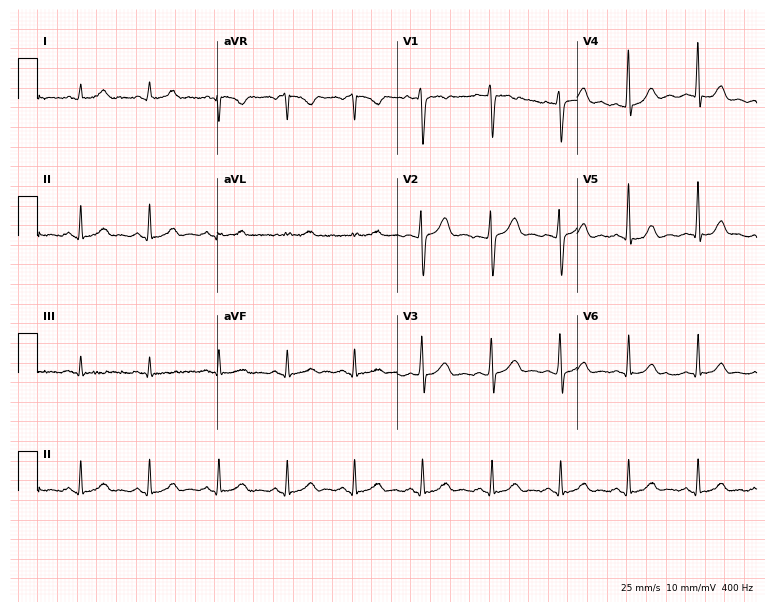
Electrocardiogram, a woman, 25 years old. Of the six screened findings (first-degree AV block, right bundle branch block, left bundle branch block, sinus bradycardia, atrial fibrillation, sinus tachycardia), none is recorded. Findings outside these six are not listed.